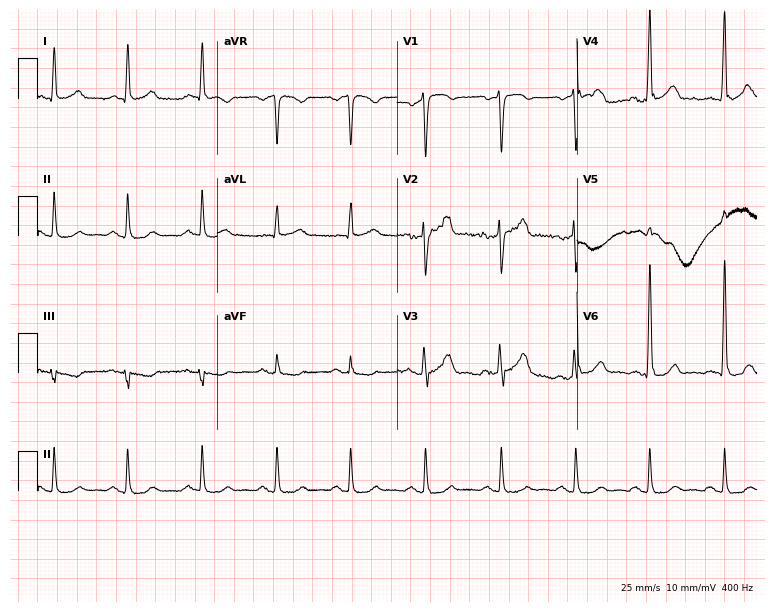
Standard 12-lead ECG recorded from a man, 49 years old. Read as a normal ECG.